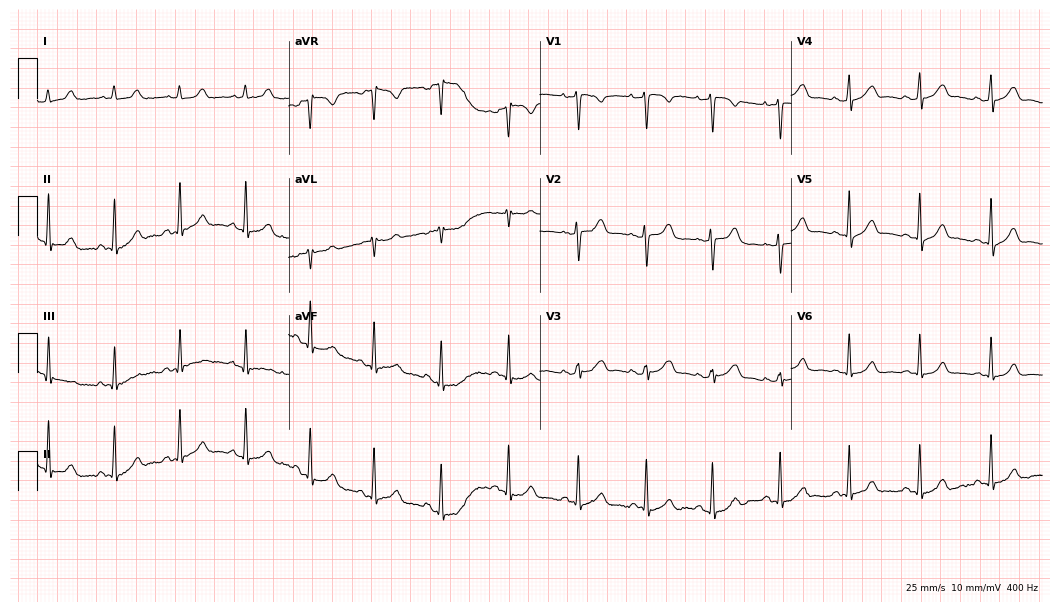
Resting 12-lead electrocardiogram (10.2-second recording at 400 Hz). Patient: an 18-year-old female. None of these six findings is recorded: first-degree AV block, right bundle branch block, left bundle branch block, sinus bradycardia, atrial fibrillation, sinus tachycardia. Findings outside these six are not listed.